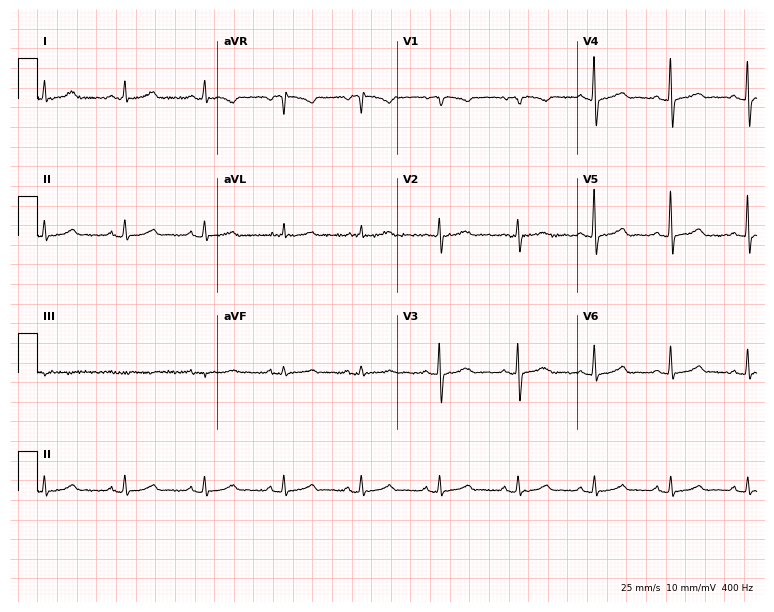
ECG — a female, 76 years old. Labelled as a normal ECG.